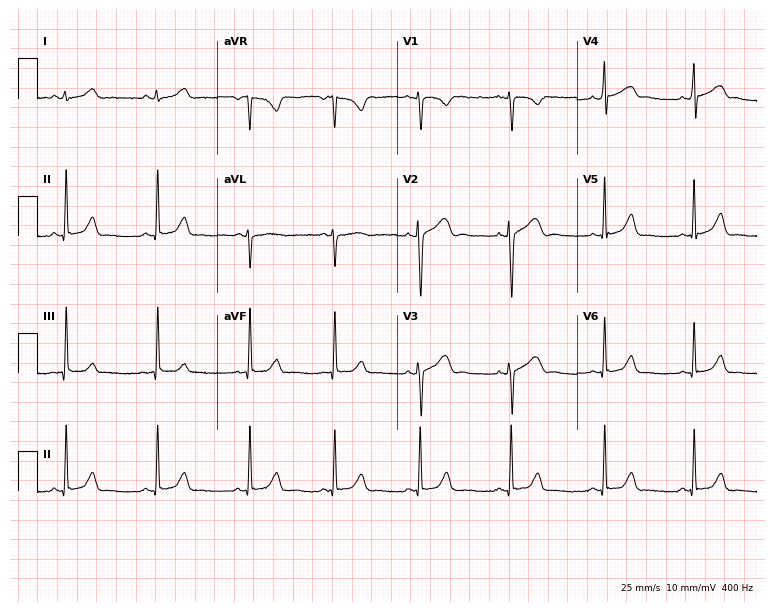
12-lead ECG from a woman, 24 years old. No first-degree AV block, right bundle branch block, left bundle branch block, sinus bradycardia, atrial fibrillation or sinus tachycardia recorded for this tracing.